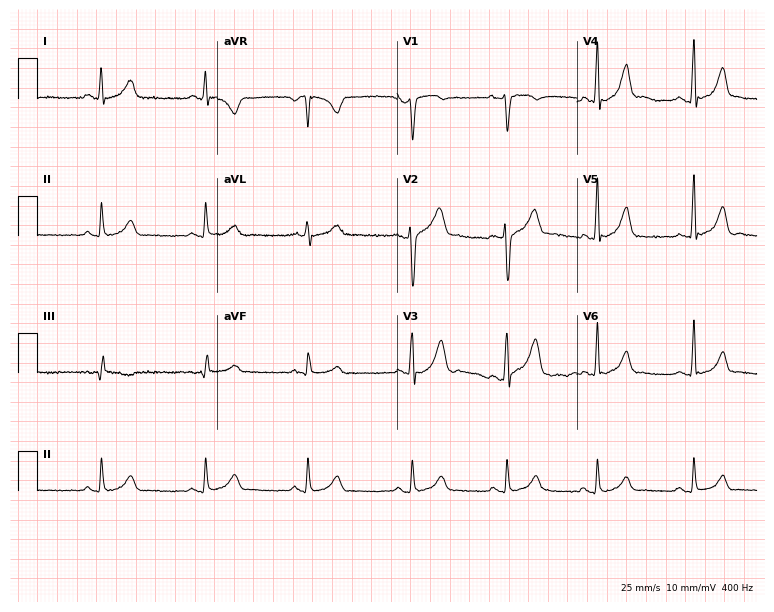
Electrocardiogram, a 26-year-old man. Overall reading on record: normal ECG.